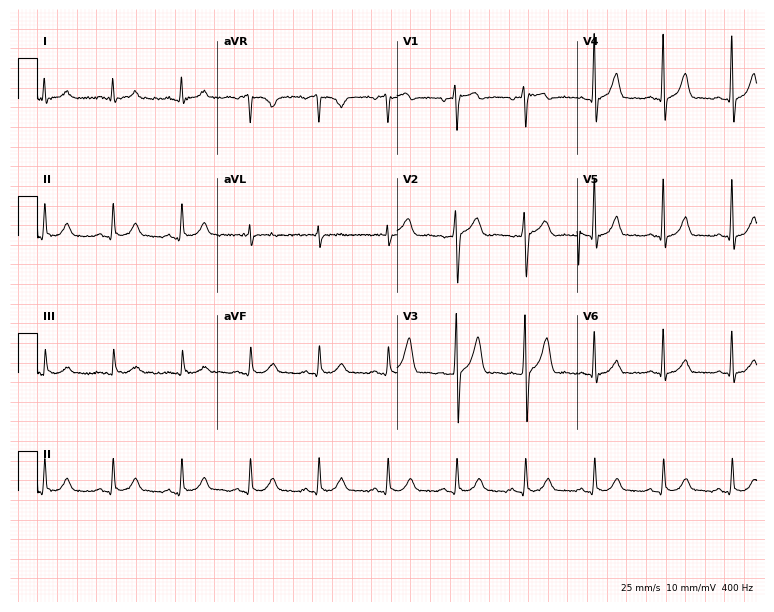
Standard 12-lead ECG recorded from a male patient, 57 years old. Read as a normal ECG.